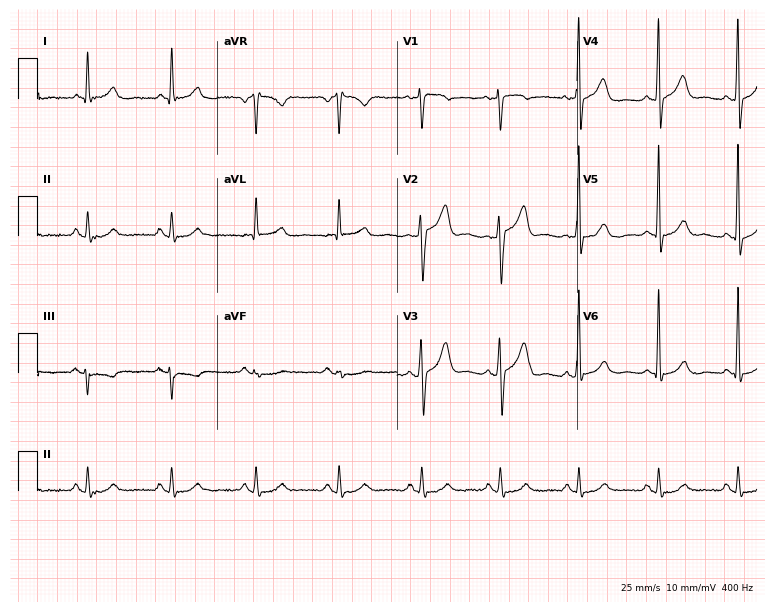
12-lead ECG (7.3-second recording at 400 Hz) from a male patient, 61 years old. Labelled as a normal ECG.